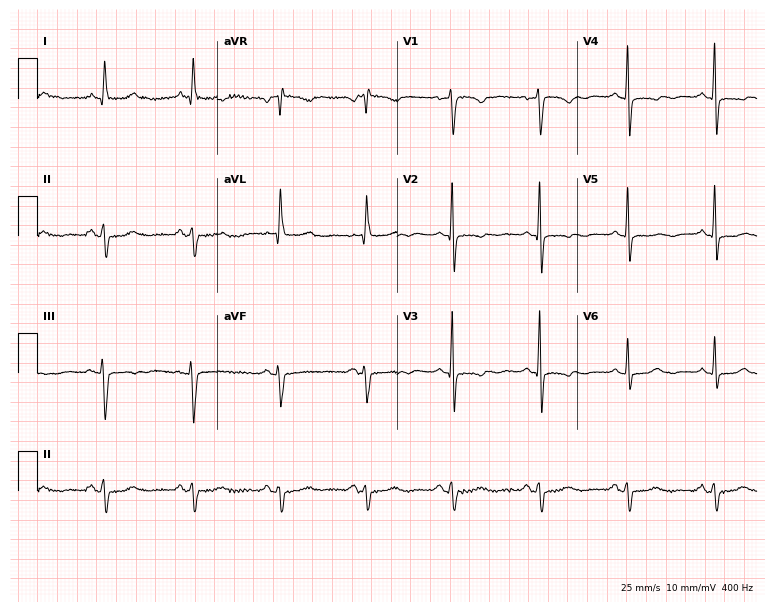
Standard 12-lead ECG recorded from a 62-year-old woman (7.3-second recording at 400 Hz). None of these six findings is recorded: first-degree AV block, right bundle branch block (RBBB), left bundle branch block (LBBB), sinus bradycardia, atrial fibrillation (AF), sinus tachycardia. Other findings, if any, are not listed.